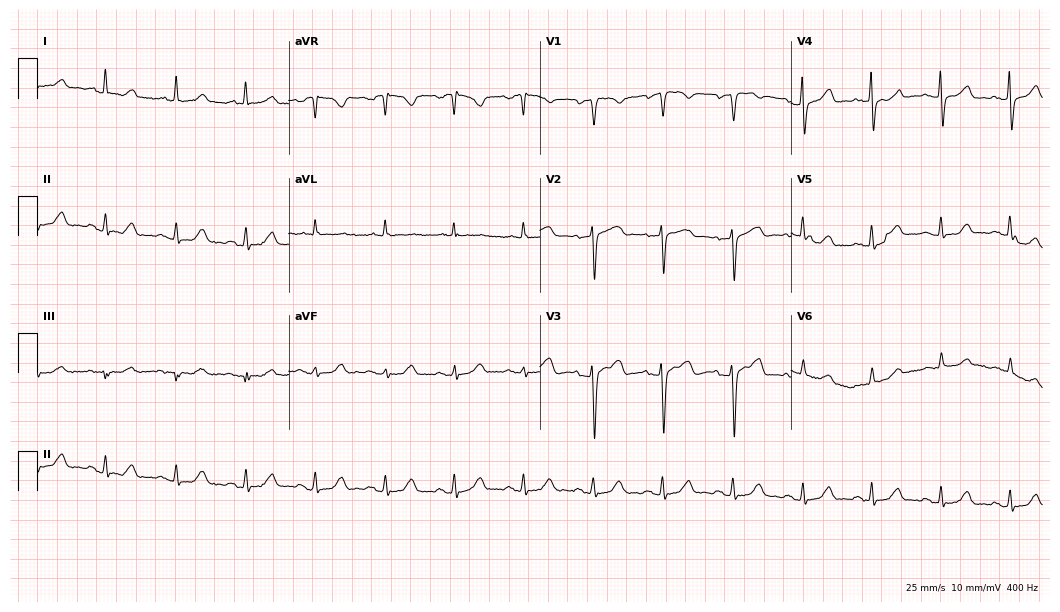
Electrocardiogram, a 50-year-old female. Overall reading on record: normal ECG.